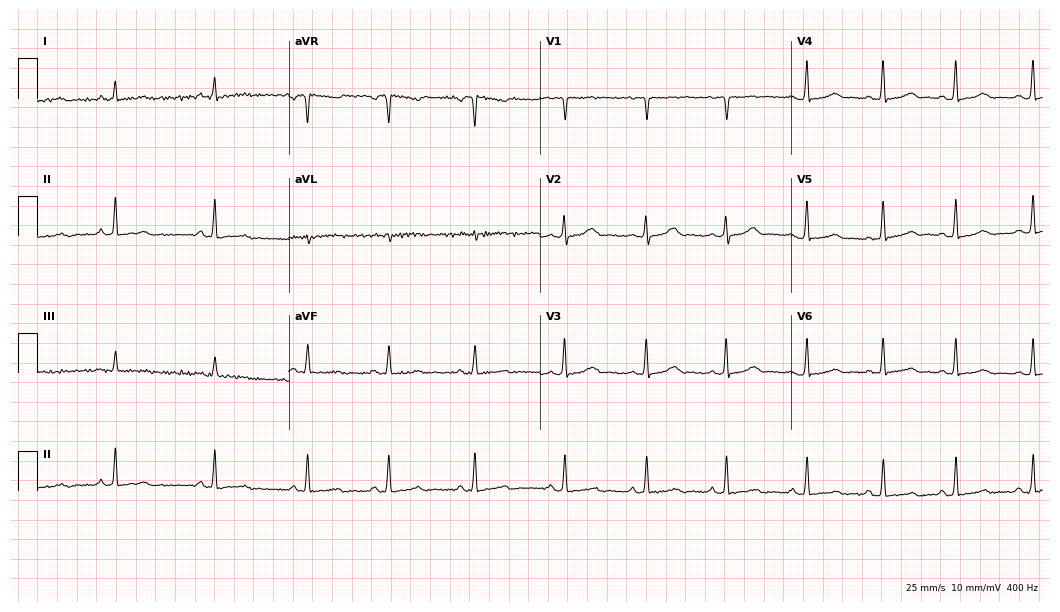
ECG (10.2-second recording at 400 Hz) — a 21-year-old man. Labelled as a normal ECG.